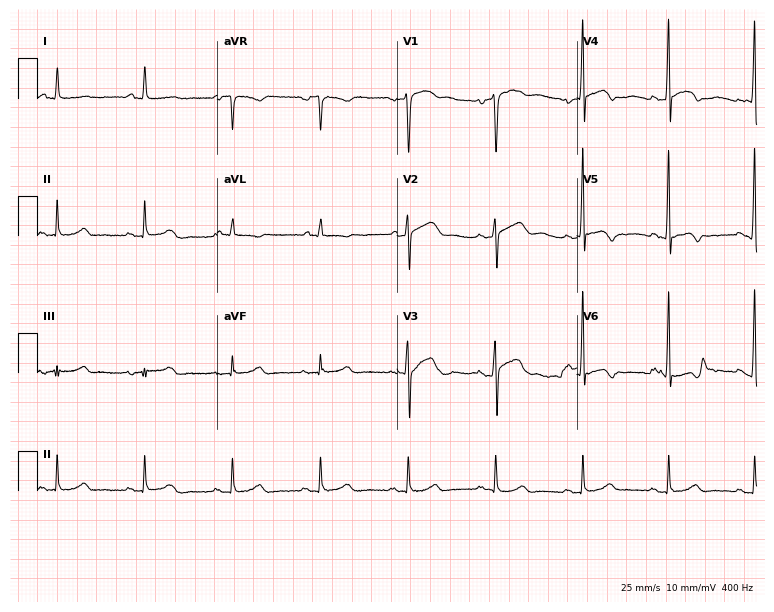
ECG (7.3-second recording at 400 Hz) — a male, 60 years old. Screened for six findings — first-degree AV block, right bundle branch block, left bundle branch block, sinus bradycardia, atrial fibrillation, sinus tachycardia — none is recorded. Findings outside these six are not listed.